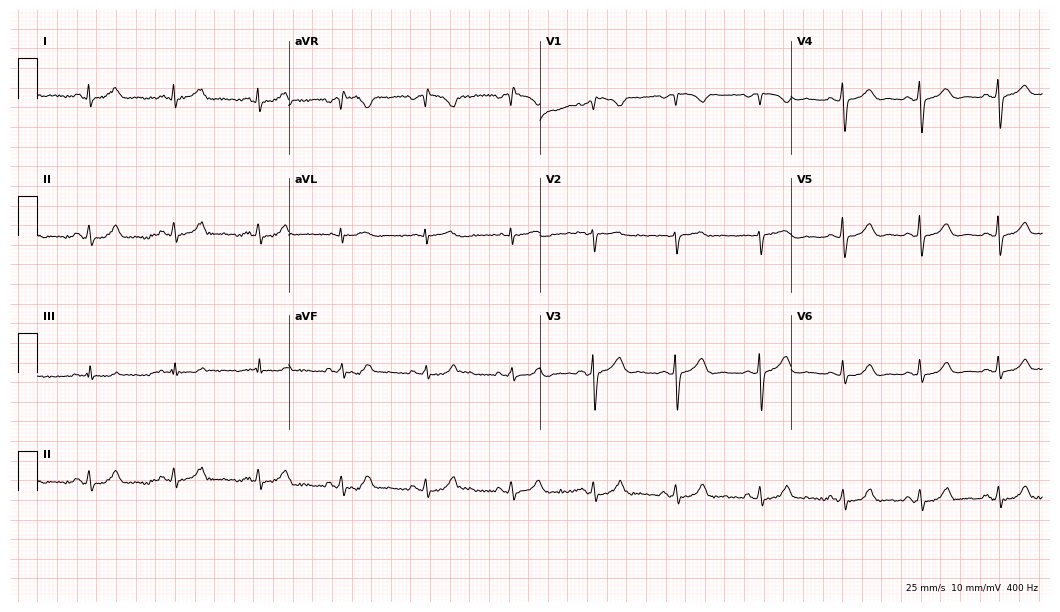
Resting 12-lead electrocardiogram (10.2-second recording at 400 Hz). Patient: a 41-year-old female. Read as a normal ECG.